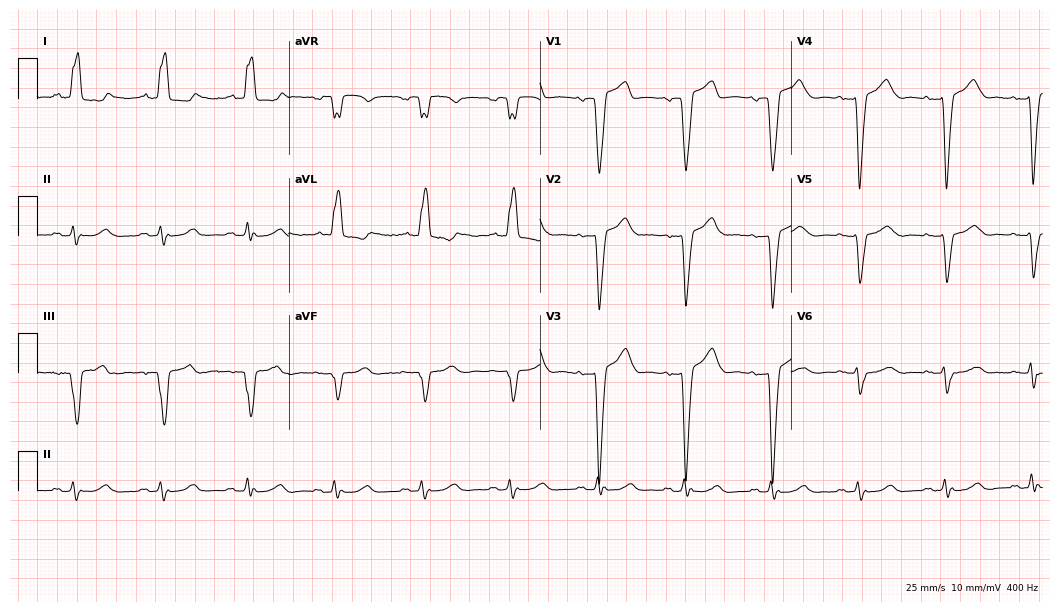
ECG (10.2-second recording at 400 Hz) — a female, 69 years old. Findings include left bundle branch block.